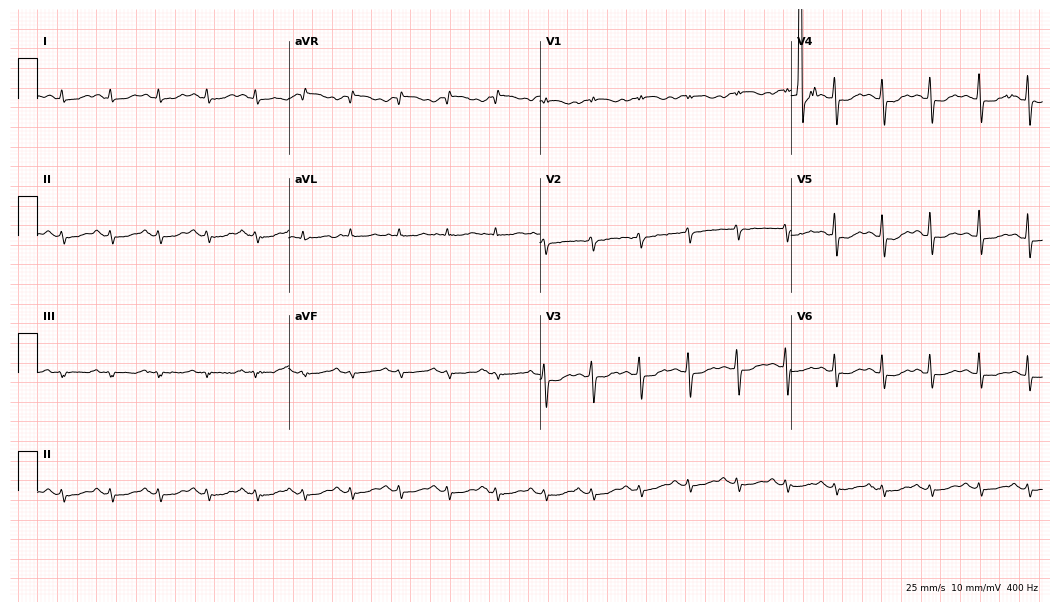
ECG — a female patient, 79 years old. Findings include sinus tachycardia (a sinus rate of 100 beats per minute or more).